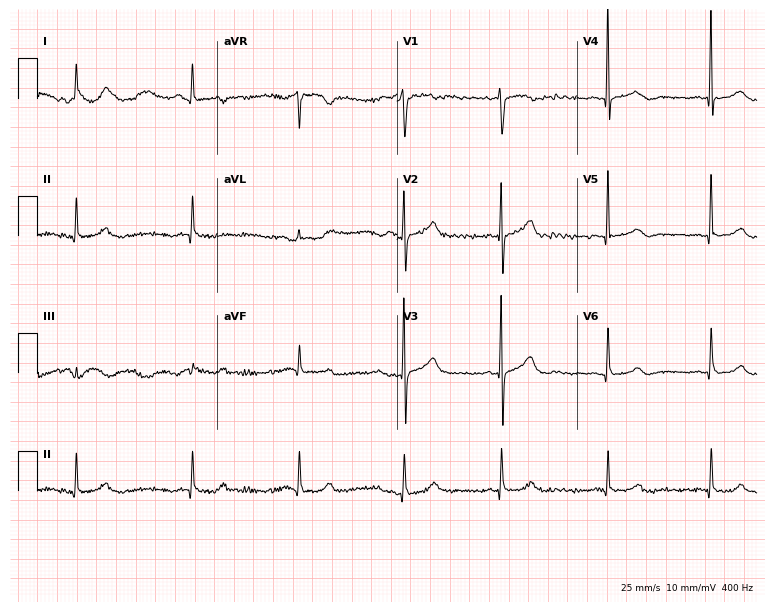
ECG (7.3-second recording at 400 Hz) — a woman, 72 years old. Screened for six findings — first-degree AV block, right bundle branch block, left bundle branch block, sinus bradycardia, atrial fibrillation, sinus tachycardia — none is recorded.